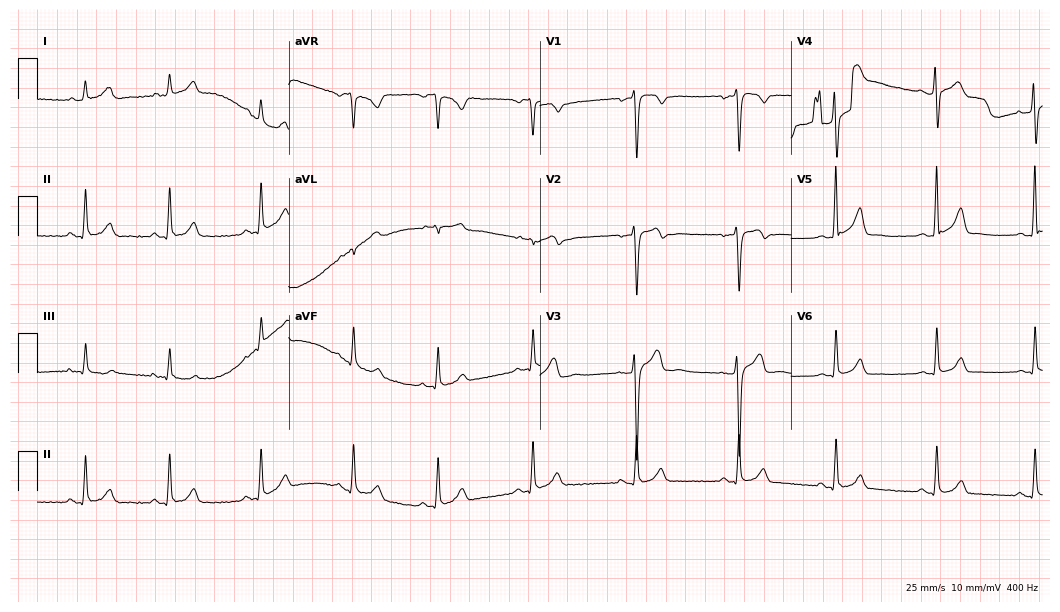
Standard 12-lead ECG recorded from a 32-year-old man. None of these six findings is recorded: first-degree AV block, right bundle branch block, left bundle branch block, sinus bradycardia, atrial fibrillation, sinus tachycardia. Only these six findings were labelled.